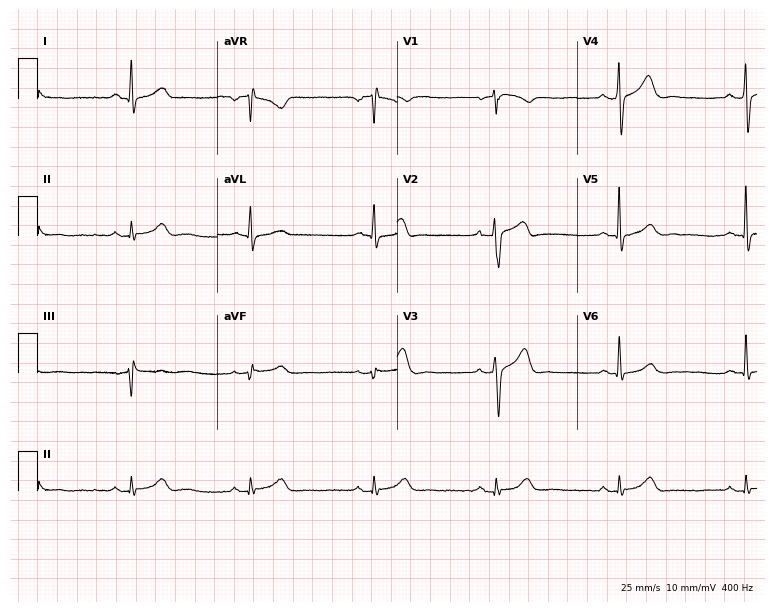
12-lead ECG from a 47-year-old male (7.3-second recording at 400 Hz). Recorded interpretation: within normal limits.